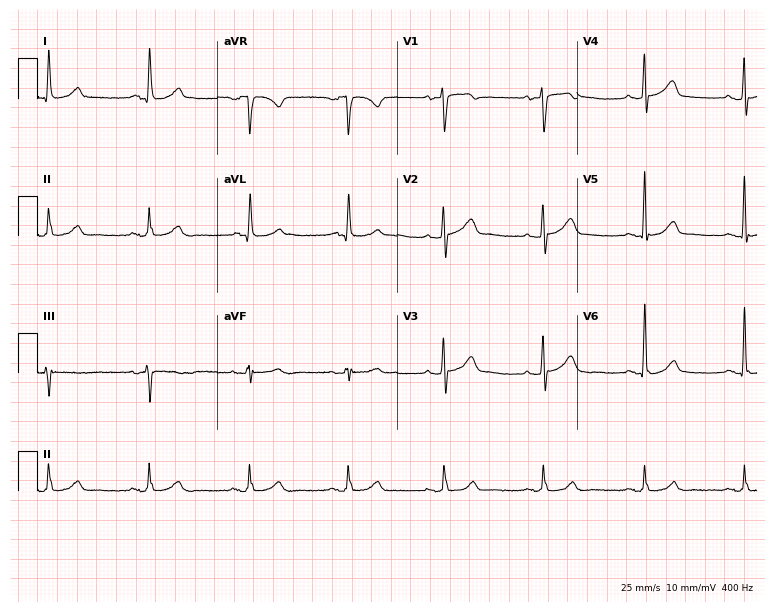
Resting 12-lead electrocardiogram (7.3-second recording at 400 Hz). Patient: an 80-year-old man. Read as a normal ECG.